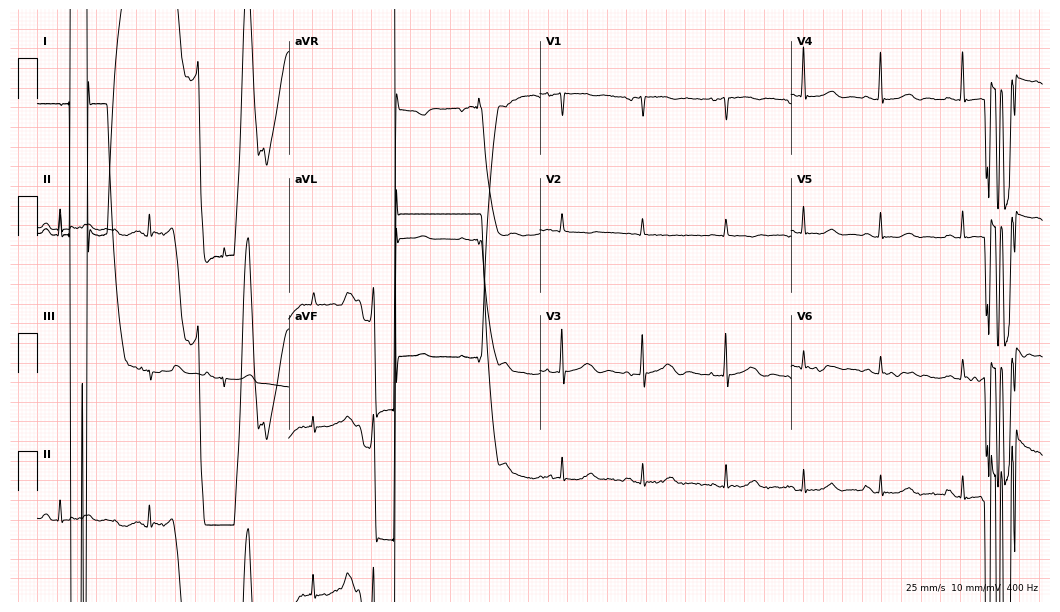
ECG — an 85-year-old female. Screened for six findings — first-degree AV block, right bundle branch block, left bundle branch block, sinus bradycardia, atrial fibrillation, sinus tachycardia — none is recorded. Only these six findings were labelled.